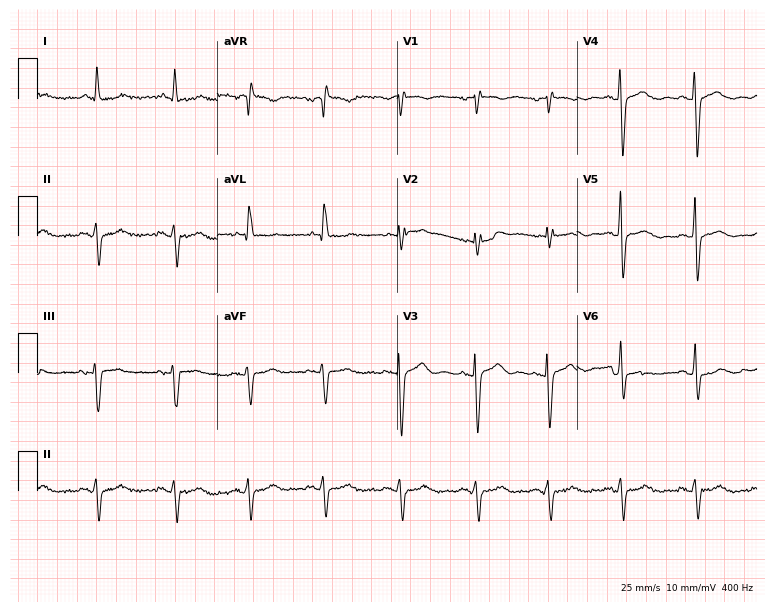
Electrocardiogram (7.3-second recording at 400 Hz), a woman, 52 years old. Of the six screened findings (first-degree AV block, right bundle branch block, left bundle branch block, sinus bradycardia, atrial fibrillation, sinus tachycardia), none is recorded.